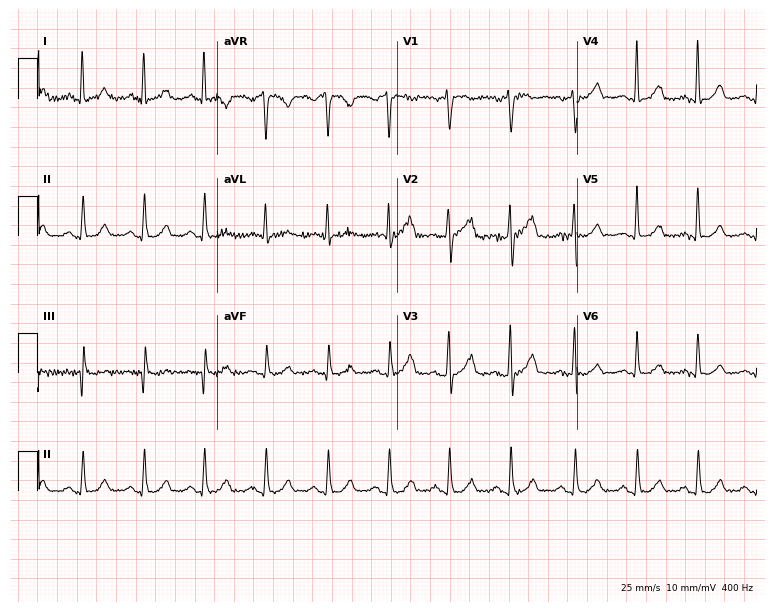
Resting 12-lead electrocardiogram (7.3-second recording at 400 Hz). Patient: a female, 48 years old. Read as a normal ECG.